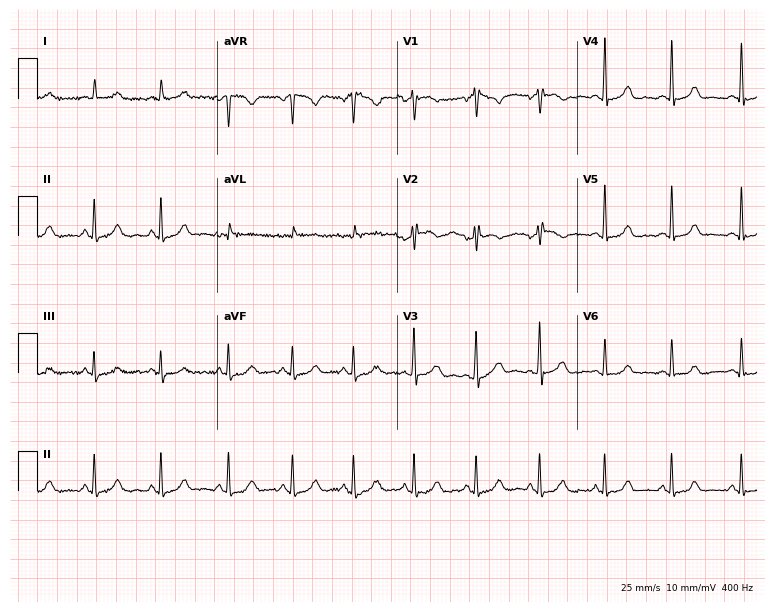
Resting 12-lead electrocardiogram (7.3-second recording at 400 Hz). Patient: a female, 49 years old. Read as a normal ECG.